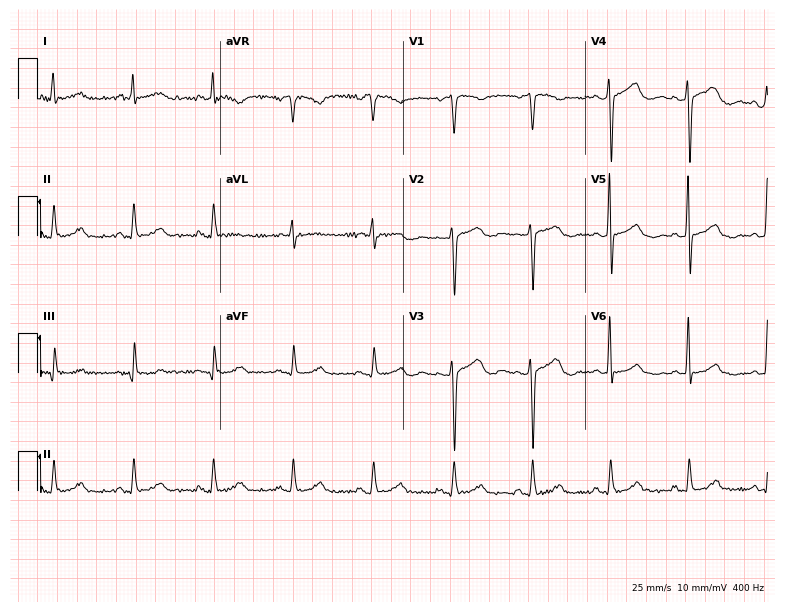
Standard 12-lead ECG recorded from a 50-year-old female. Read as a normal ECG.